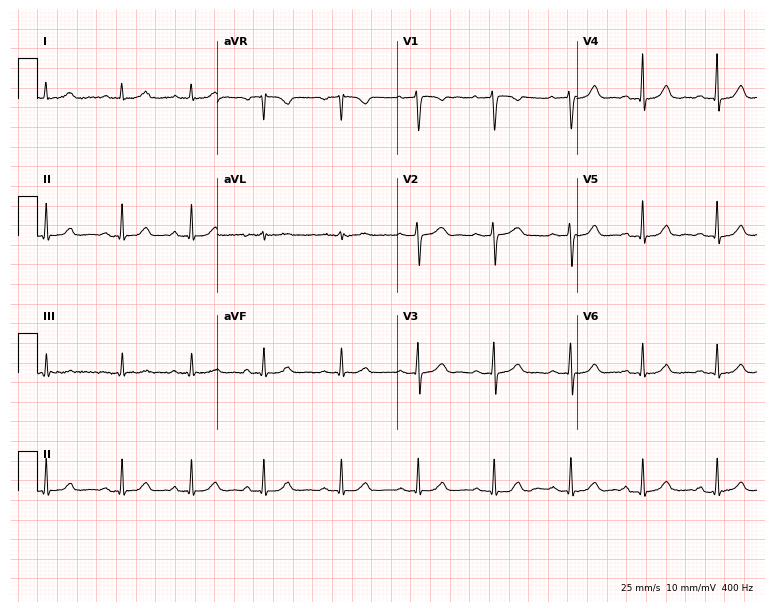
ECG (7.3-second recording at 400 Hz) — a 44-year-old woman. Labelled as a normal ECG.